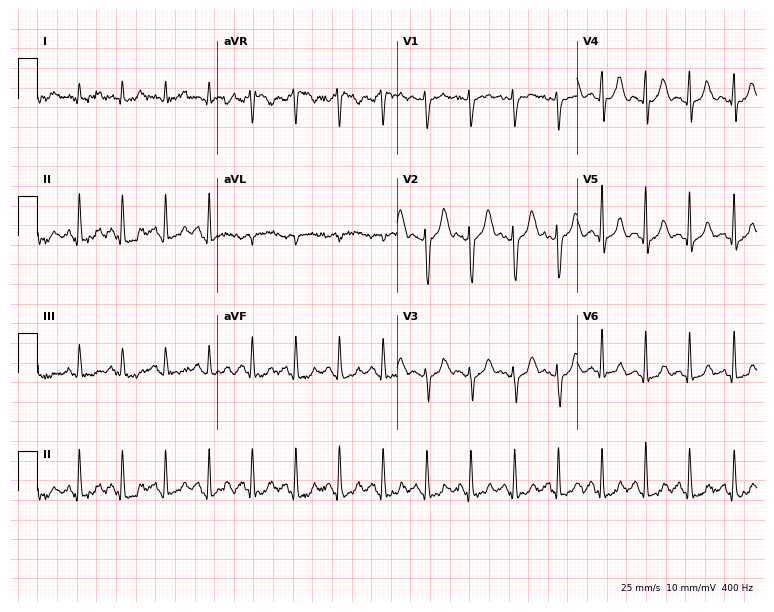
12-lead ECG (7.3-second recording at 400 Hz) from a 39-year-old female. Findings include sinus tachycardia (a sinus rate of 100 beats per minute or more).